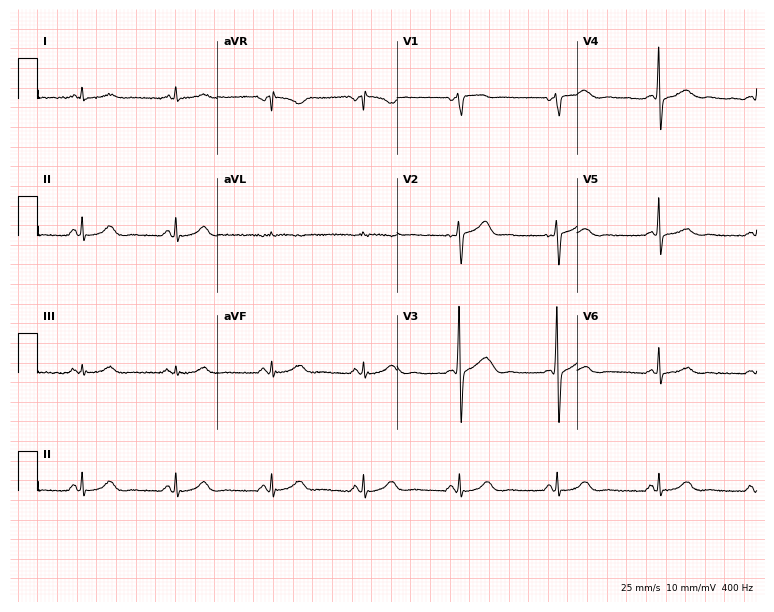
Standard 12-lead ECG recorded from a 57-year-old man (7.3-second recording at 400 Hz). None of these six findings is recorded: first-degree AV block, right bundle branch block (RBBB), left bundle branch block (LBBB), sinus bradycardia, atrial fibrillation (AF), sinus tachycardia. Findings outside these six are not listed.